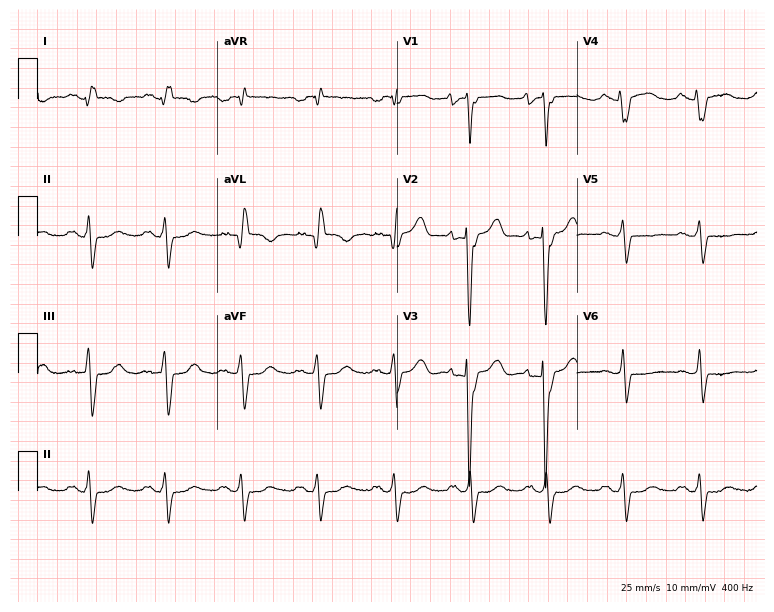
Standard 12-lead ECG recorded from a 43-year-old female patient (7.3-second recording at 400 Hz). The tracing shows left bundle branch block (LBBB).